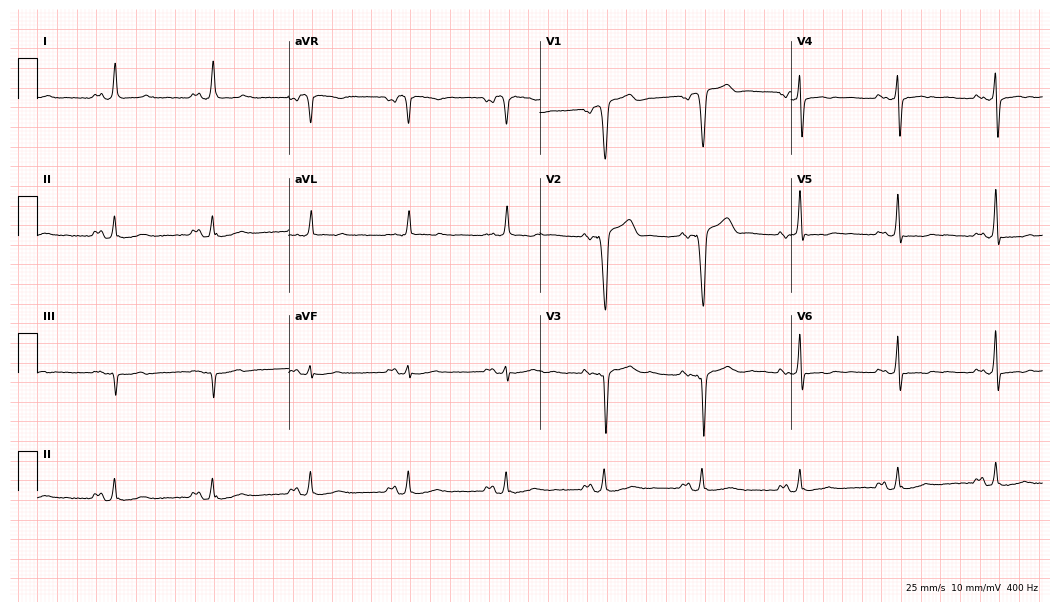
ECG — a man, 56 years old. Screened for six findings — first-degree AV block, right bundle branch block, left bundle branch block, sinus bradycardia, atrial fibrillation, sinus tachycardia — none is recorded.